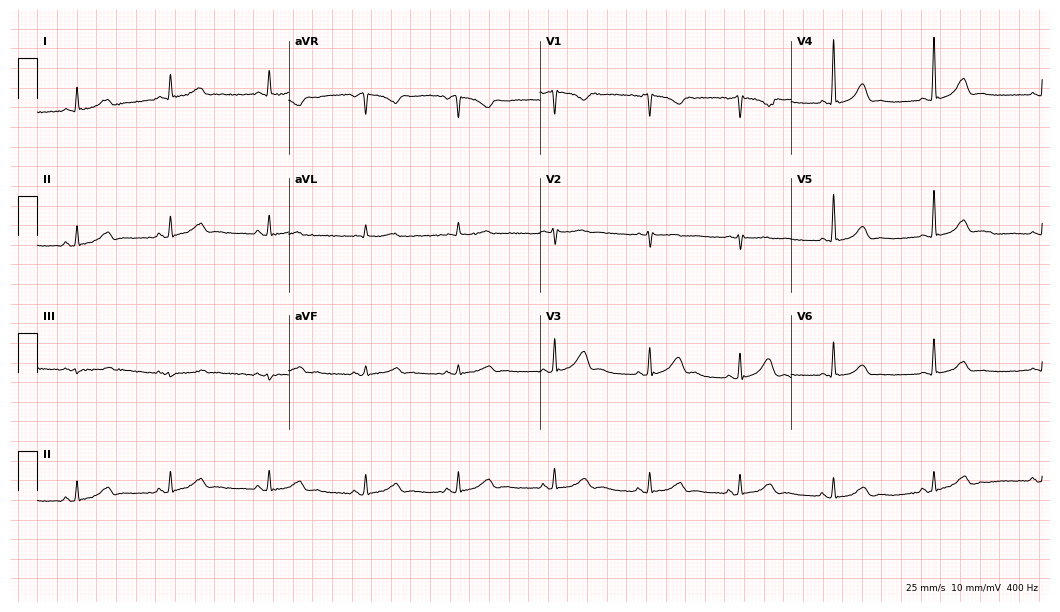
Standard 12-lead ECG recorded from a female, 46 years old. Read as a normal ECG.